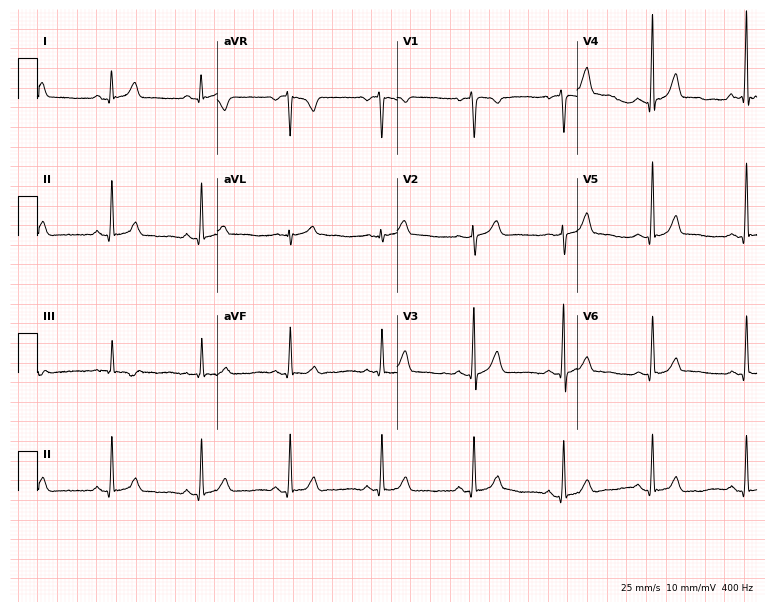
Standard 12-lead ECG recorded from a 46-year-old male (7.3-second recording at 400 Hz). None of these six findings is recorded: first-degree AV block, right bundle branch block (RBBB), left bundle branch block (LBBB), sinus bradycardia, atrial fibrillation (AF), sinus tachycardia. Only these six findings were labelled.